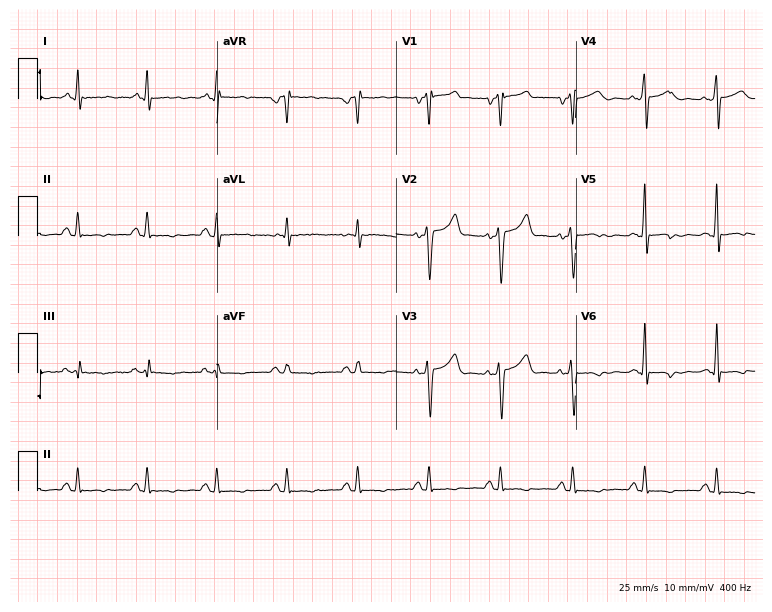
Electrocardiogram, a 49-year-old male patient. Of the six screened findings (first-degree AV block, right bundle branch block, left bundle branch block, sinus bradycardia, atrial fibrillation, sinus tachycardia), none is recorded.